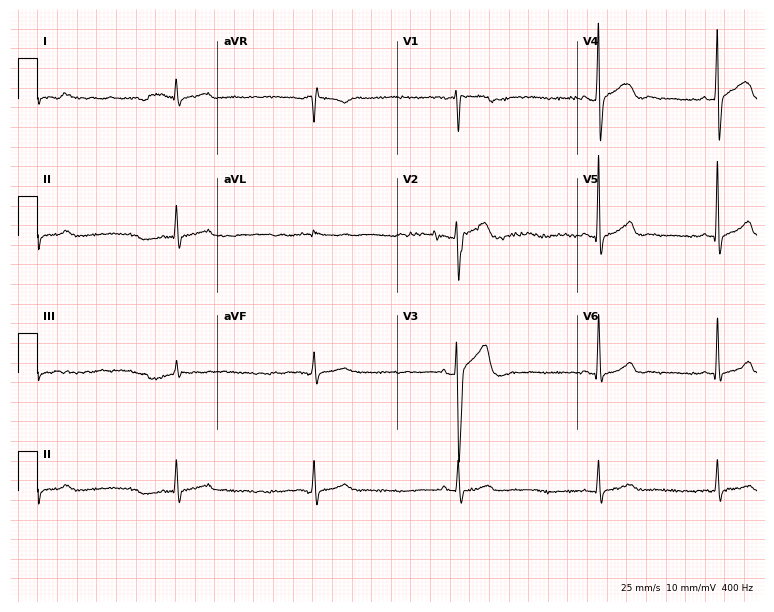
ECG — a male patient, 41 years old. Findings include sinus bradycardia (a sinus rate of 50 beats per minute or less).